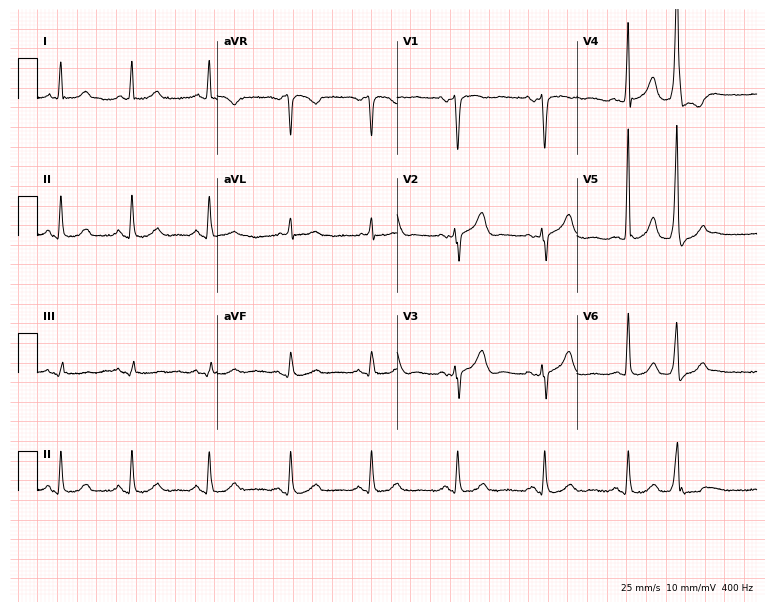
12-lead ECG (7.3-second recording at 400 Hz) from a male, 64 years old. Screened for six findings — first-degree AV block, right bundle branch block, left bundle branch block, sinus bradycardia, atrial fibrillation, sinus tachycardia — none is recorded.